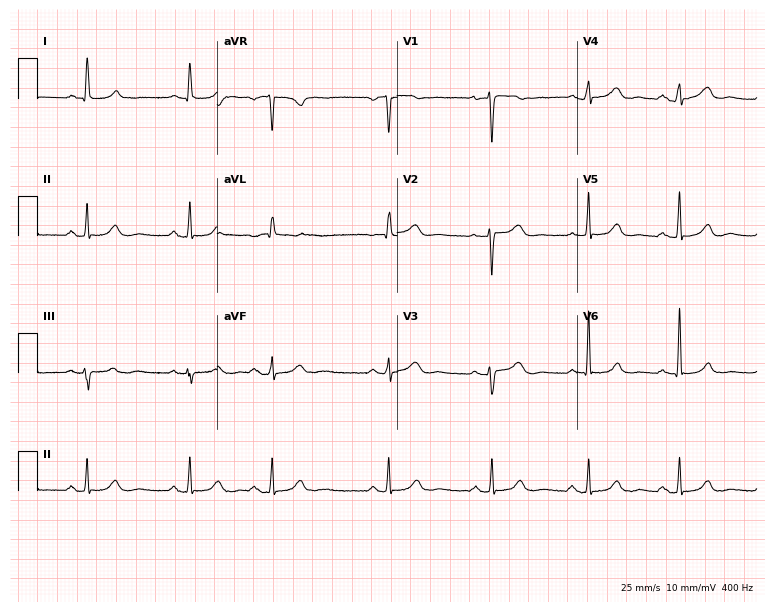
12-lead ECG from a 57-year-old woman. Recorded interpretation: within normal limits.